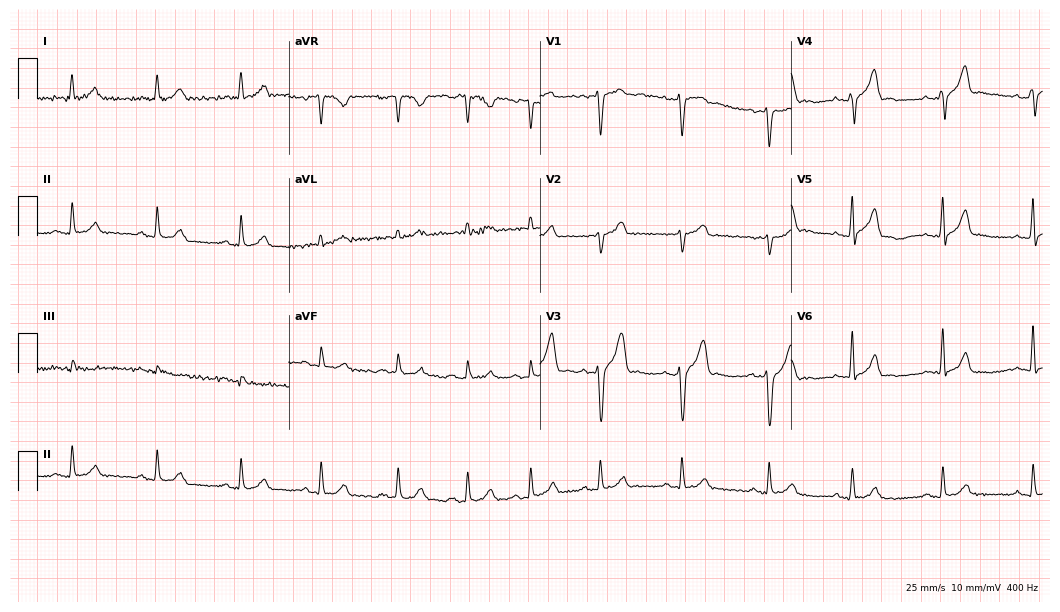
Standard 12-lead ECG recorded from a man, 46 years old (10.2-second recording at 400 Hz). None of these six findings is recorded: first-degree AV block, right bundle branch block, left bundle branch block, sinus bradycardia, atrial fibrillation, sinus tachycardia. Other findings, if any, are not listed.